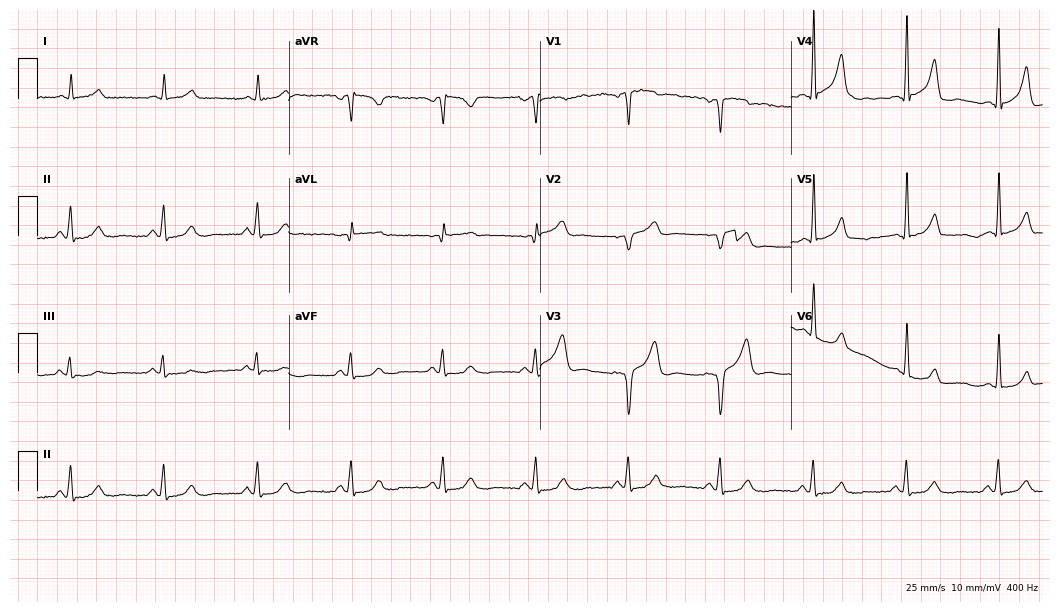
12-lead ECG from a 49-year-old man. No first-degree AV block, right bundle branch block, left bundle branch block, sinus bradycardia, atrial fibrillation or sinus tachycardia recorded for this tracing.